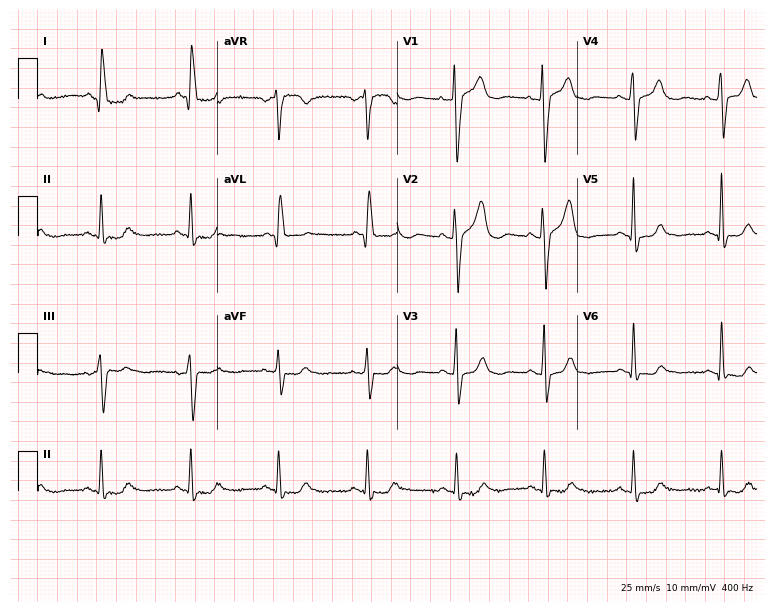
Resting 12-lead electrocardiogram. Patient: a woman, 76 years old. None of these six findings is recorded: first-degree AV block, right bundle branch block, left bundle branch block, sinus bradycardia, atrial fibrillation, sinus tachycardia.